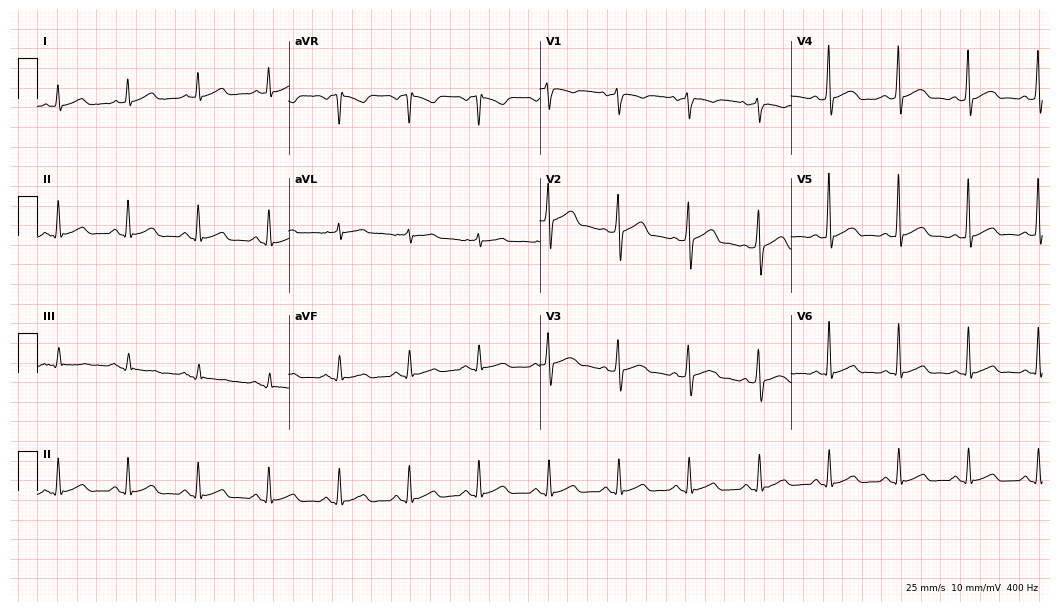
12-lead ECG (10.2-second recording at 400 Hz) from a man, 57 years old. Labelled as a normal ECG.